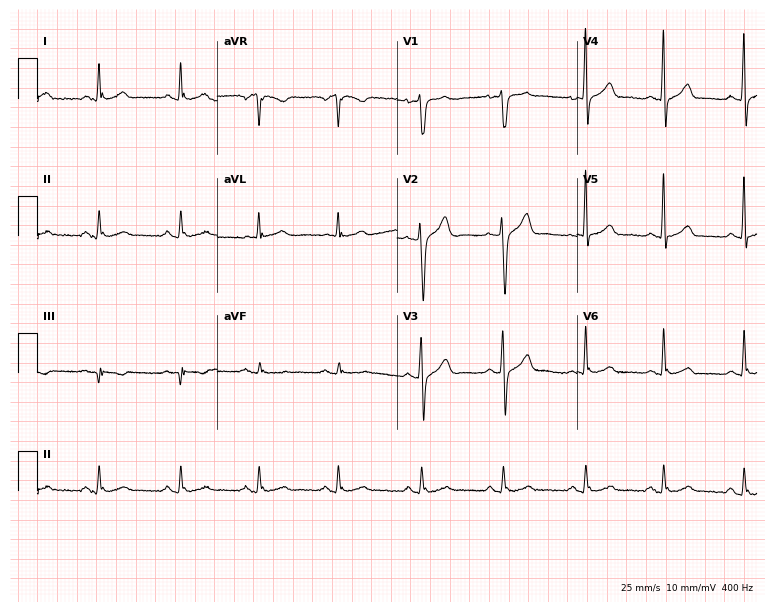
12-lead ECG from a male, 57 years old. Recorded interpretation: within normal limits.